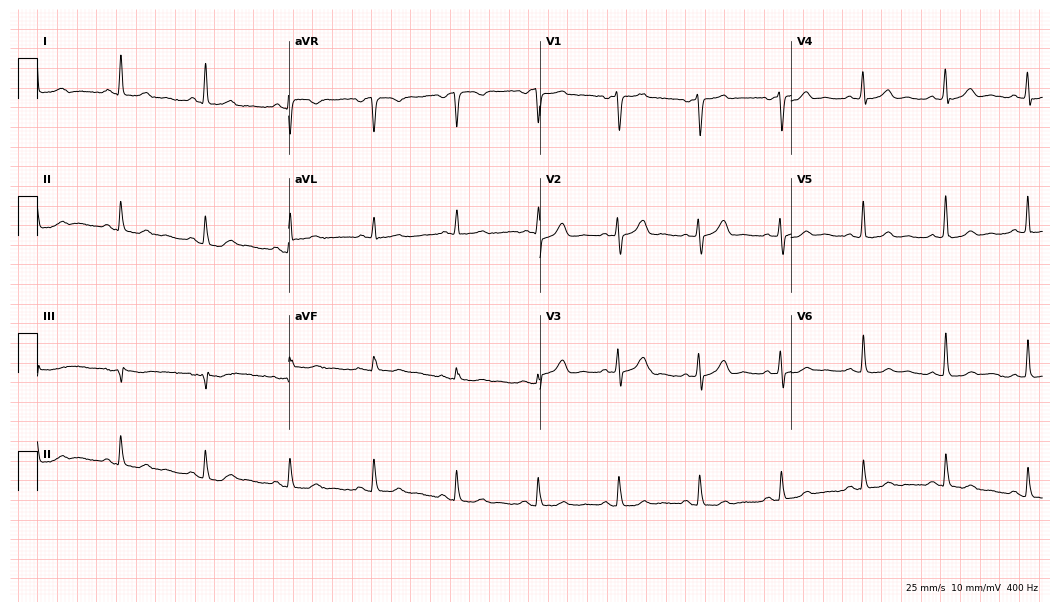
Standard 12-lead ECG recorded from a 63-year-old male. Read as a normal ECG.